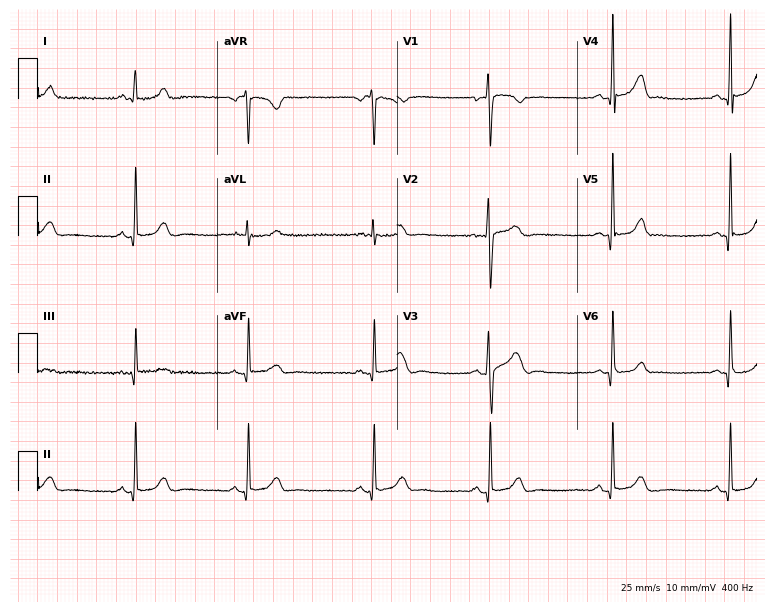
Resting 12-lead electrocardiogram. Patient: a female, 27 years old. The tracing shows sinus bradycardia (a sinus rate of 50 beats per minute or less).